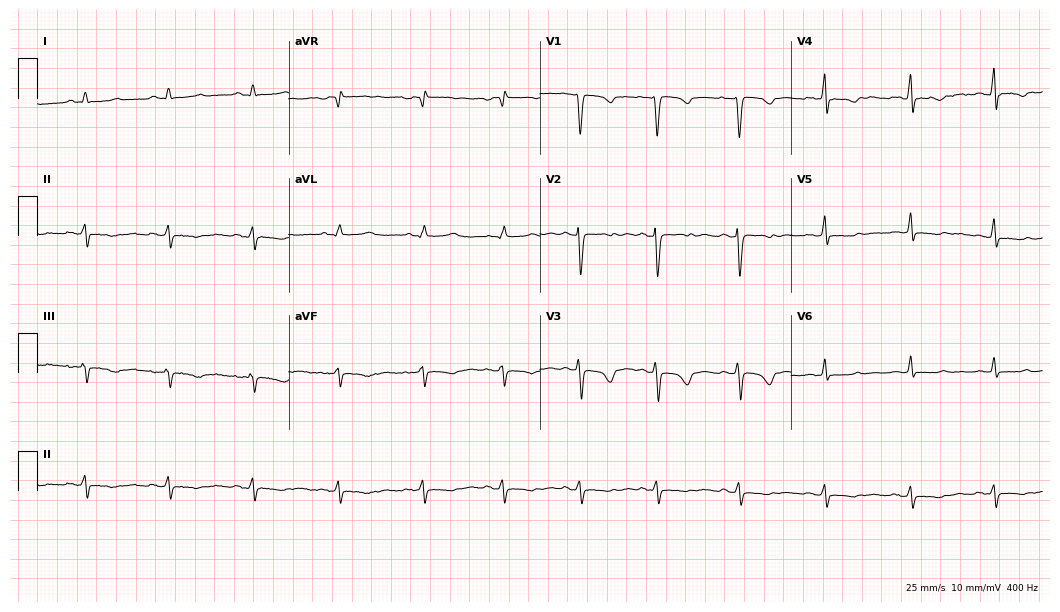
Standard 12-lead ECG recorded from a woman, 24 years old (10.2-second recording at 400 Hz). None of these six findings is recorded: first-degree AV block, right bundle branch block, left bundle branch block, sinus bradycardia, atrial fibrillation, sinus tachycardia. Other findings, if any, are not listed.